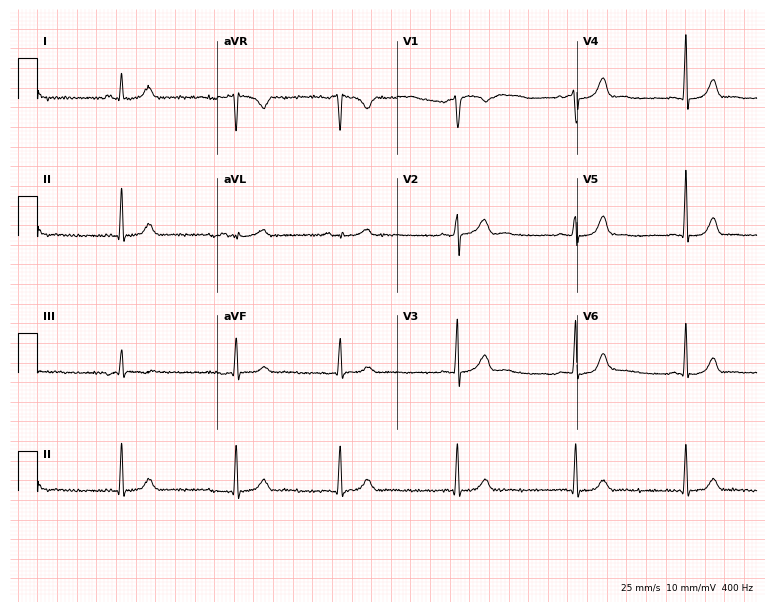
Standard 12-lead ECG recorded from a female patient, 31 years old (7.3-second recording at 400 Hz). None of these six findings is recorded: first-degree AV block, right bundle branch block (RBBB), left bundle branch block (LBBB), sinus bradycardia, atrial fibrillation (AF), sinus tachycardia. Only these six findings were labelled.